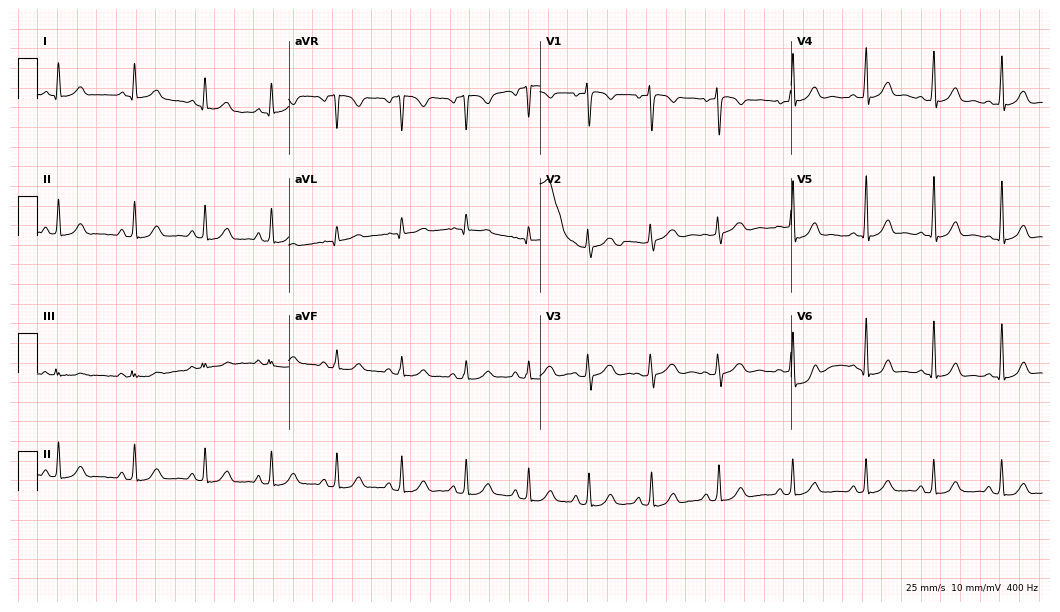
ECG — a 31-year-old woman. Screened for six findings — first-degree AV block, right bundle branch block (RBBB), left bundle branch block (LBBB), sinus bradycardia, atrial fibrillation (AF), sinus tachycardia — none is recorded. Only these six findings were labelled.